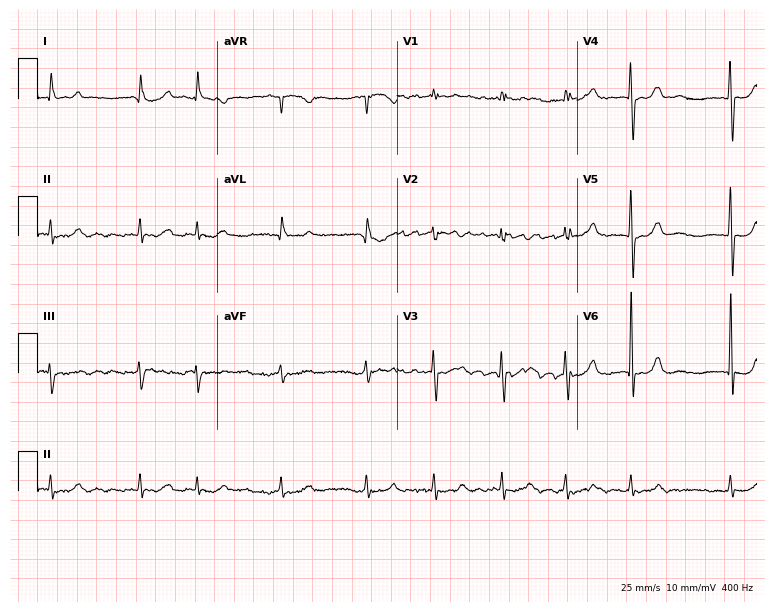
Resting 12-lead electrocardiogram. Patient: a female, 71 years old. The tracing shows atrial fibrillation.